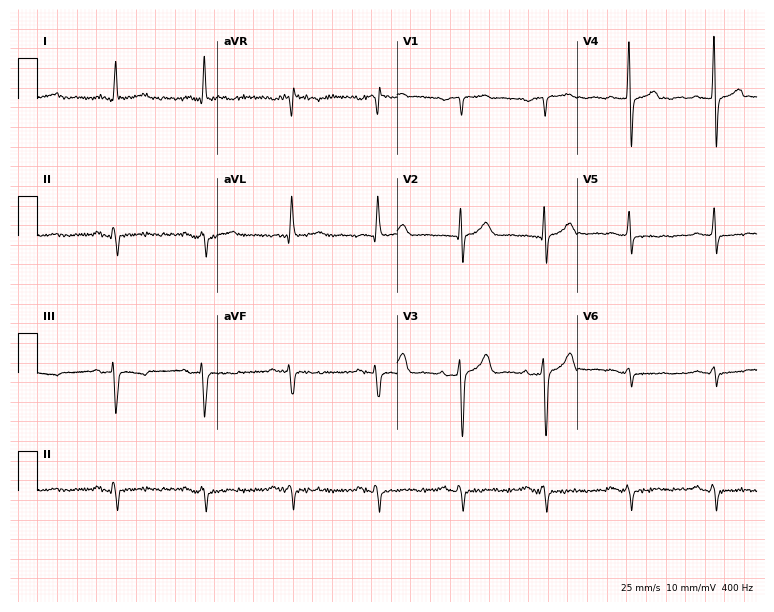
Standard 12-lead ECG recorded from a 64-year-old male. Read as a normal ECG.